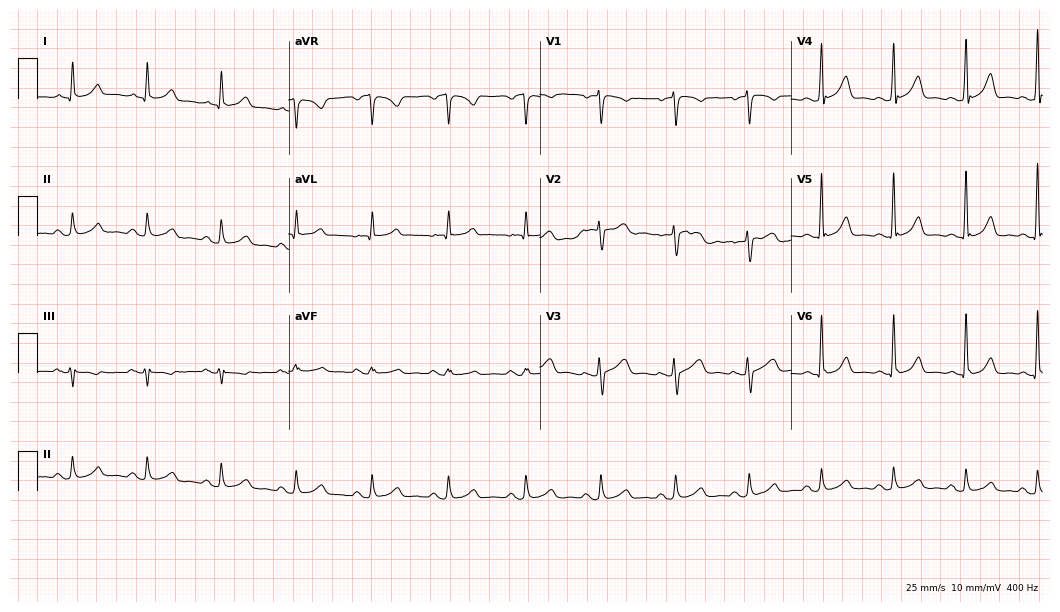
Standard 12-lead ECG recorded from a 49-year-old woman (10.2-second recording at 400 Hz). Read as a normal ECG.